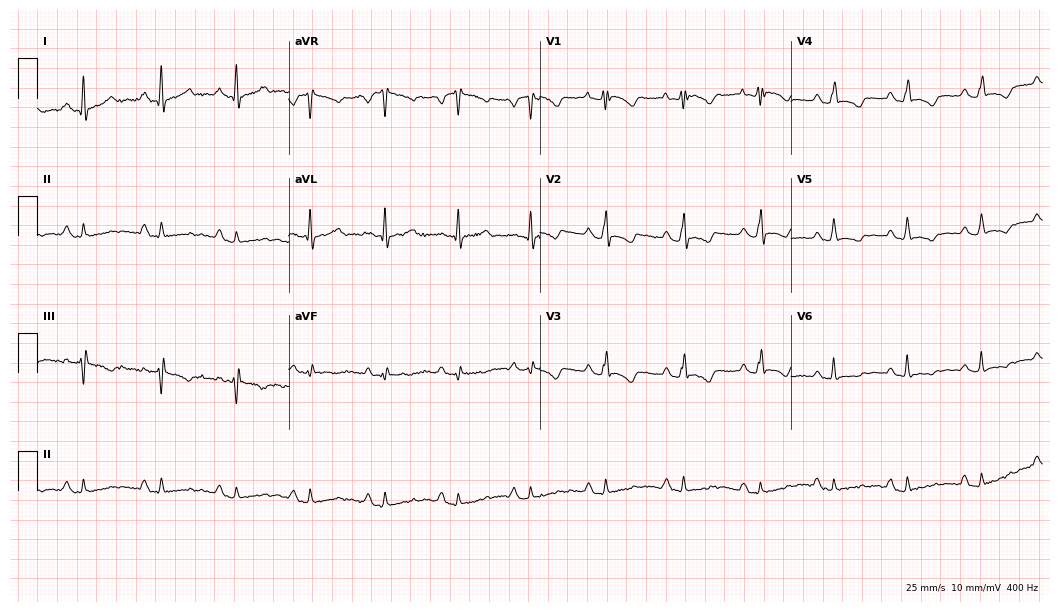
Resting 12-lead electrocardiogram (10.2-second recording at 400 Hz). Patient: a female, 29 years old. None of these six findings is recorded: first-degree AV block, right bundle branch block, left bundle branch block, sinus bradycardia, atrial fibrillation, sinus tachycardia.